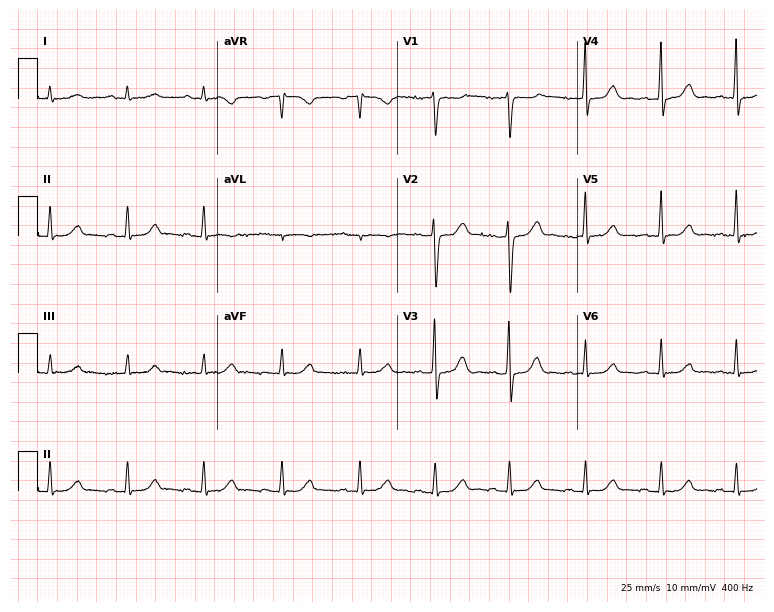
Standard 12-lead ECG recorded from a 45-year-old woman. None of these six findings is recorded: first-degree AV block, right bundle branch block, left bundle branch block, sinus bradycardia, atrial fibrillation, sinus tachycardia.